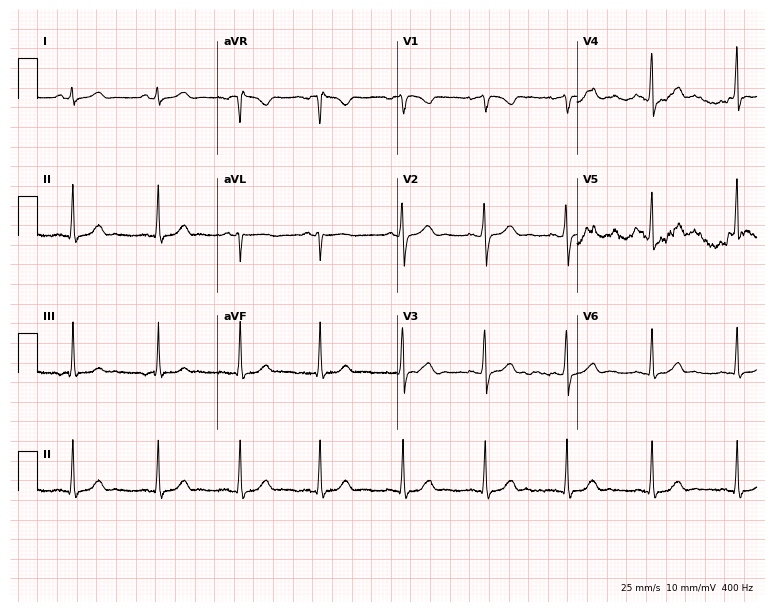
ECG — a woman, 18 years old. Labelled as a normal ECG.